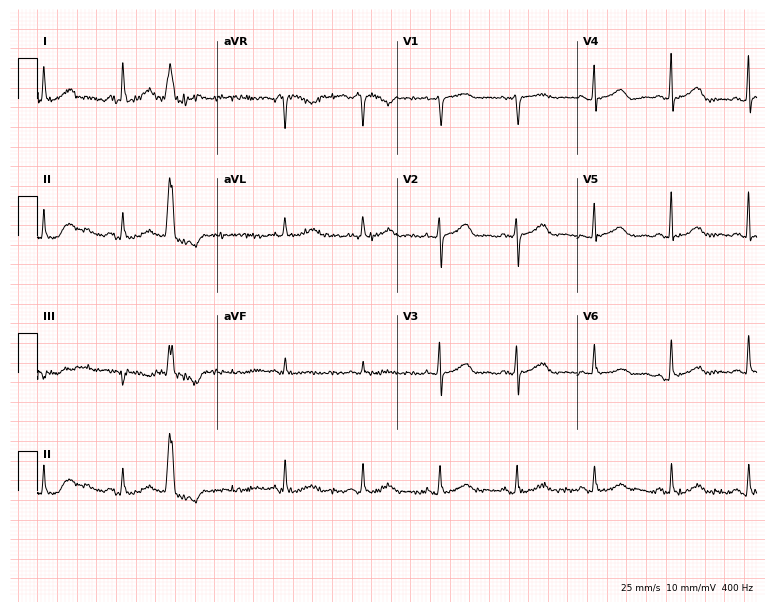
Electrocardiogram (7.3-second recording at 400 Hz), a woman, 75 years old. Of the six screened findings (first-degree AV block, right bundle branch block, left bundle branch block, sinus bradycardia, atrial fibrillation, sinus tachycardia), none is recorded. Only these six findings were labelled.